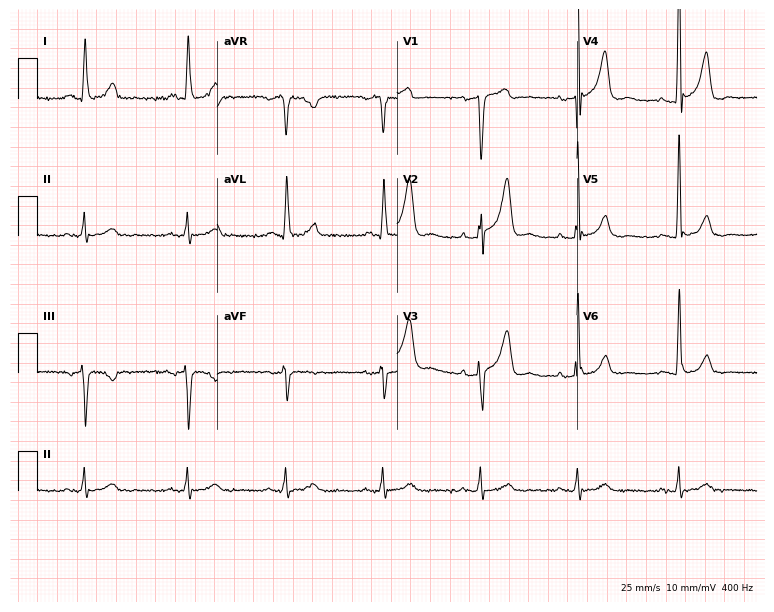
Standard 12-lead ECG recorded from a male patient, 84 years old. None of these six findings is recorded: first-degree AV block, right bundle branch block, left bundle branch block, sinus bradycardia, atrial fibrillation, sinus tachycardia.